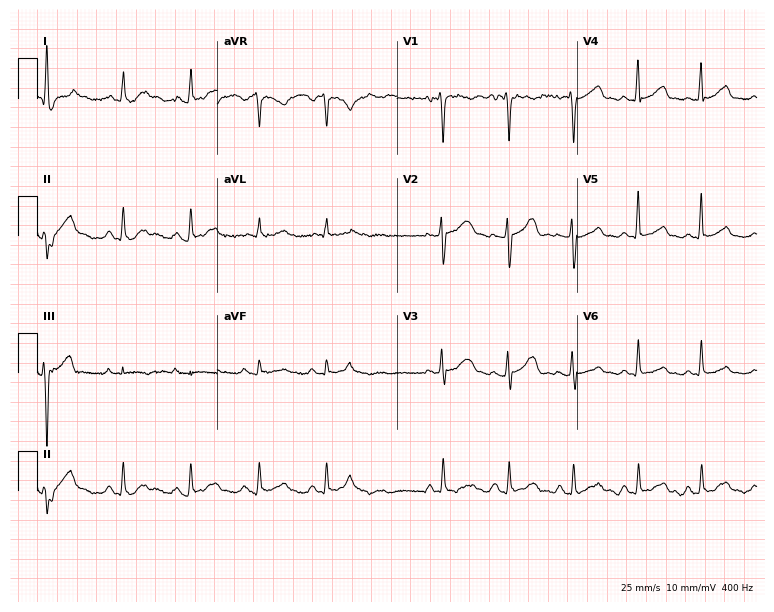
ECG (7.3-second recording at 400 Hz) — a female patient, 39 years old. Screened for six findings — first-degree AV block, right bundle branch block (RBBB), left bundle branch block (LBBB), sinus bradycardia, atrial fibrillation (AF), sinus tachycardia — none is recorded. Other findings, if any, are not listed.